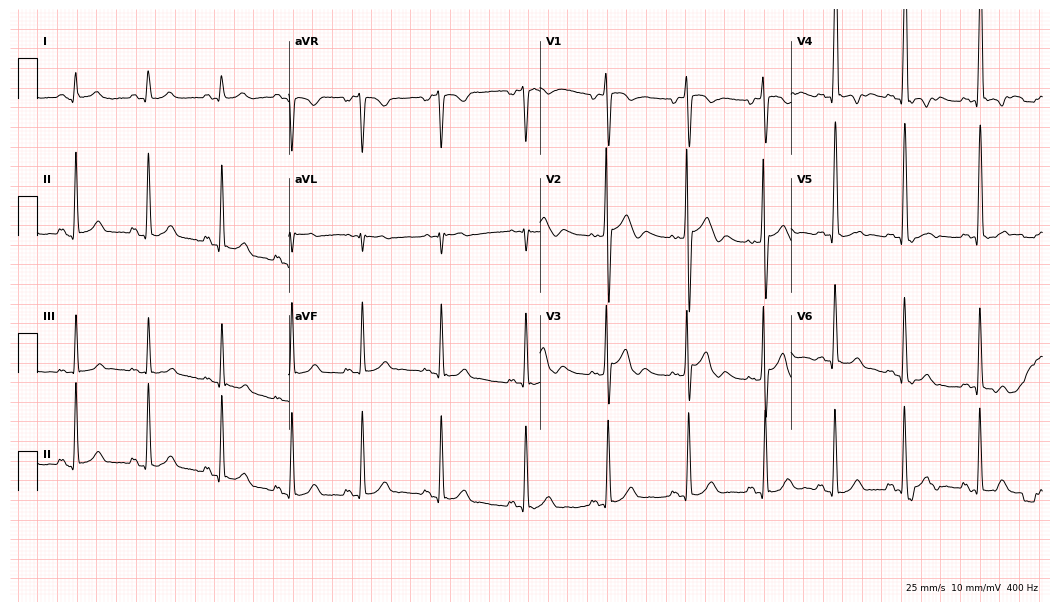
12-lead ECG from a 24-year-old female (10.2-second recording at 400 Hz). No first-degree AV block, right bundle branch block (RBBB), left bundle branch block (LBBB), sinus bradycardia, atrial fibrillation (AF) or sinus tachycardia recorded for this tracing. Only these six findings were labelled.